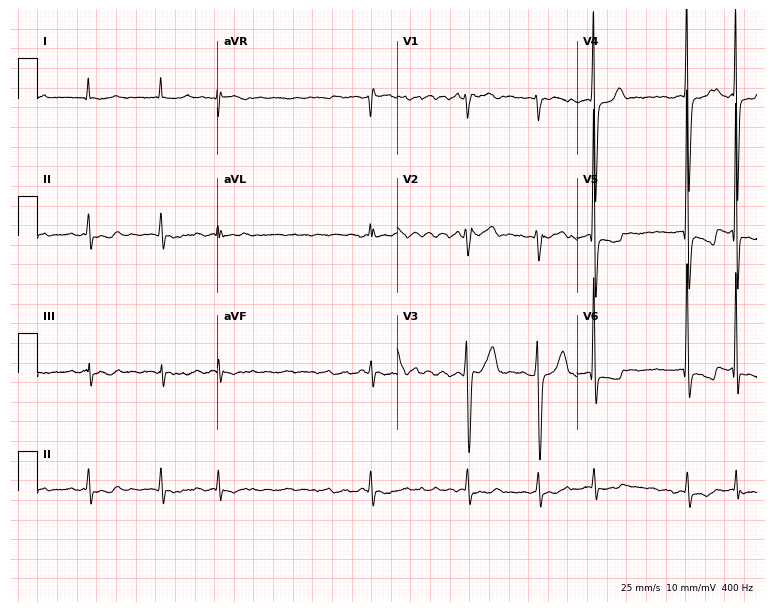
Standard 12-lead ECG recorded from an 83-year-old woman. The tracing shows atrial fibrillation.